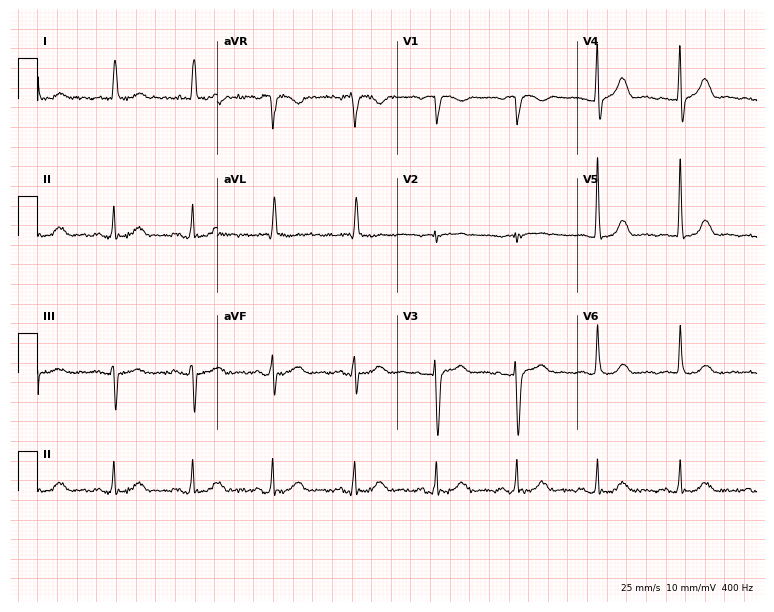
12-lead ECG from a 69-year-old female patient. Screened for six findings — first-degree AV block, right bundle branch block, left bundle branch block, sinus bradycardia, atrial fibrillation, sinus tachycardia — none is recorded. Findings outside these six are not listed.